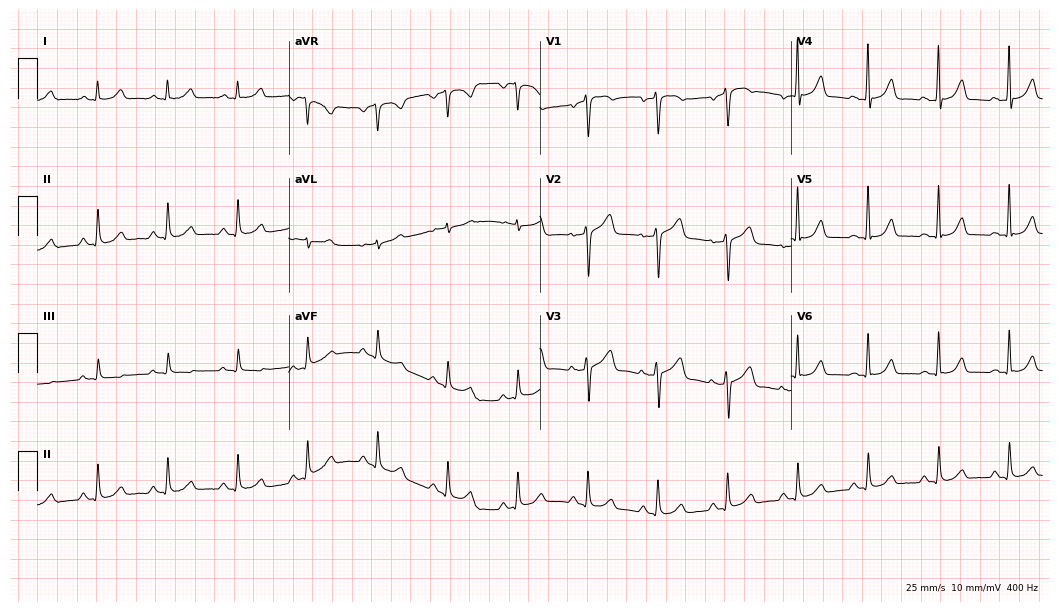
Resting 12-lead electrocardiogram. Patient: a male, 50 years old. Read as a normal ECG.